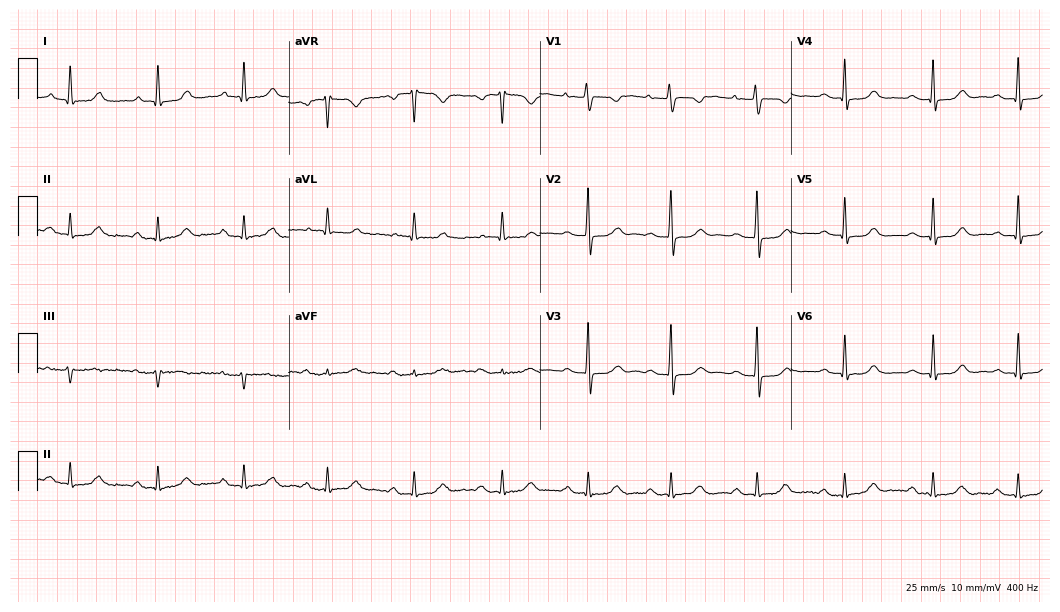
12-lead ECG (10.2-second recording at 400 Hz) from a 44-year-old female patient. Findings include first-degree AV block.